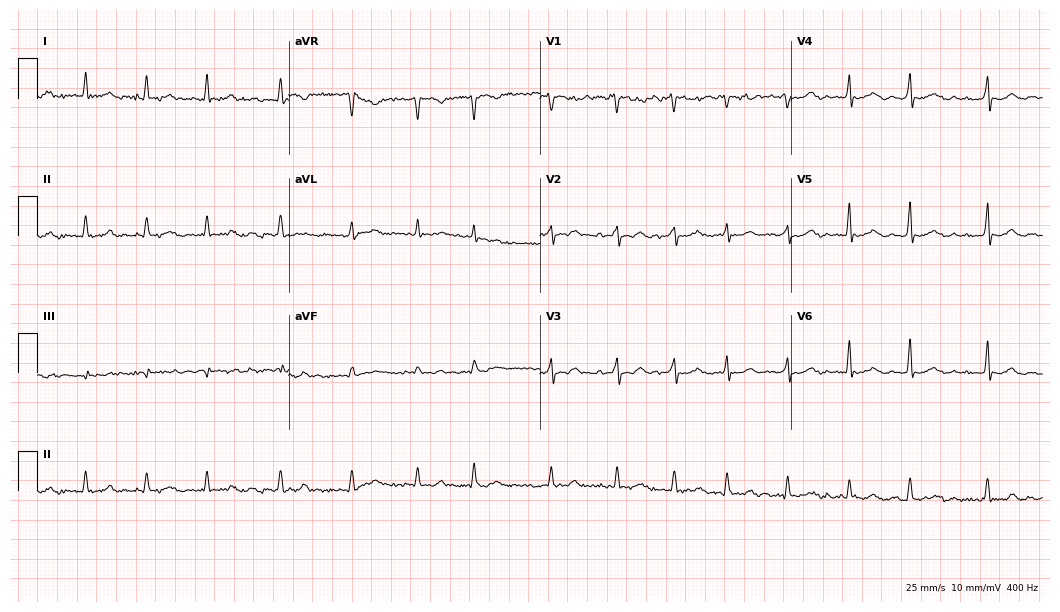
12-lead ECG from a 74-year-old woman (10.2-second recording at 400 Hz). Shows atrial fibrillation.